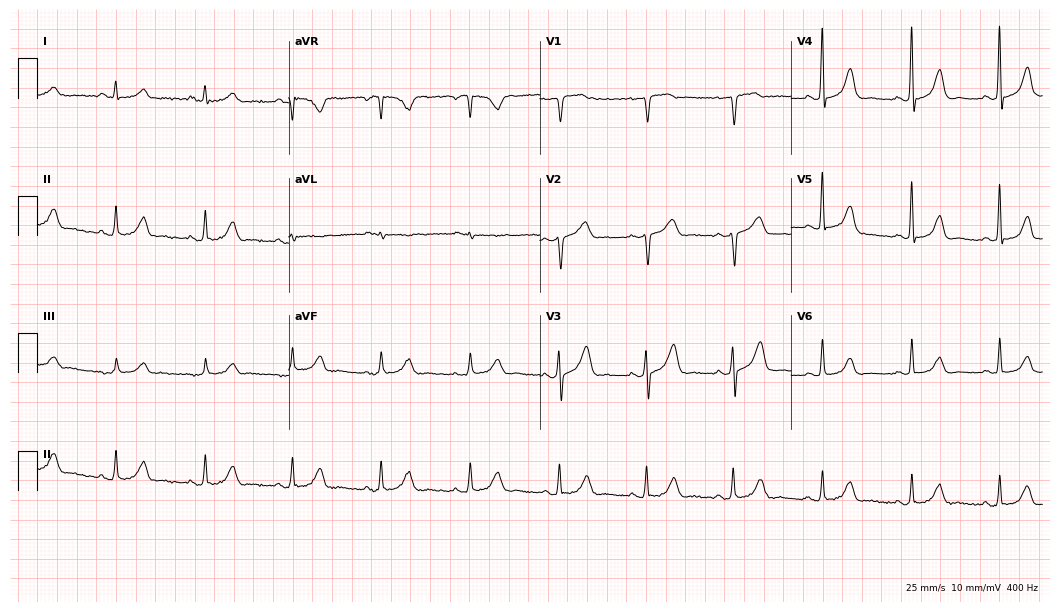
Electrocardiogram, a 60-year-old woman. Of the six screened findings (first-degree AV block, right bundle branch block, left bundle branch block, sinus bradycardia, atrial fibrillation, sinus tachycardia), none is recorded. Only these six findings were labelled.